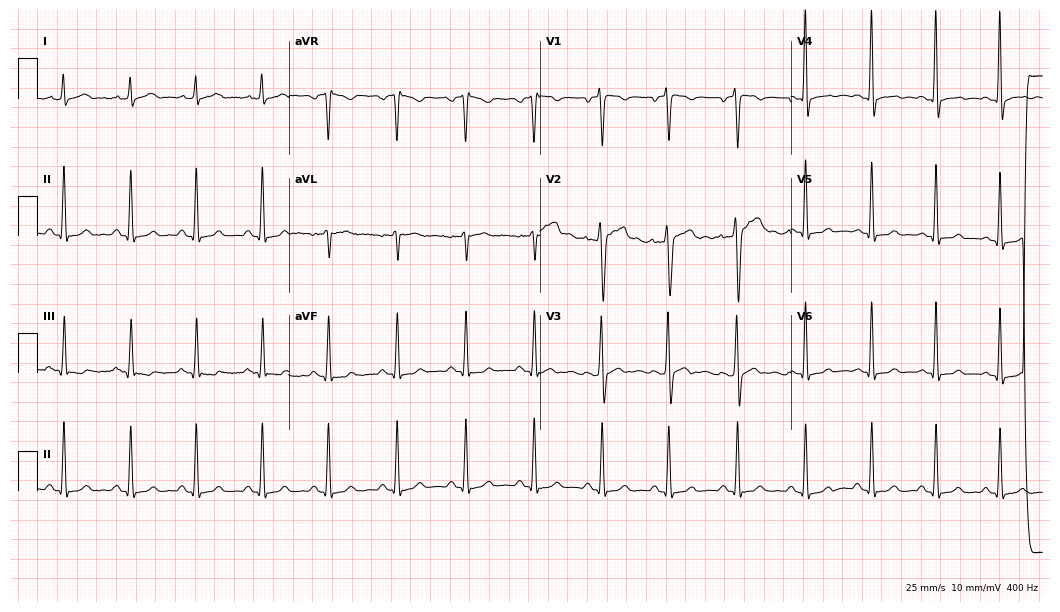
ECG (10.2-second recording at 400 Hz) — a 25-year-old man. Screened for six findings — first-degree AV block, right bundle branch block, left bundle branch block, sinus bradycardia, atrial fibrillation, sinus tachycardia — none is recorded. Other findings, if any, are not listed.